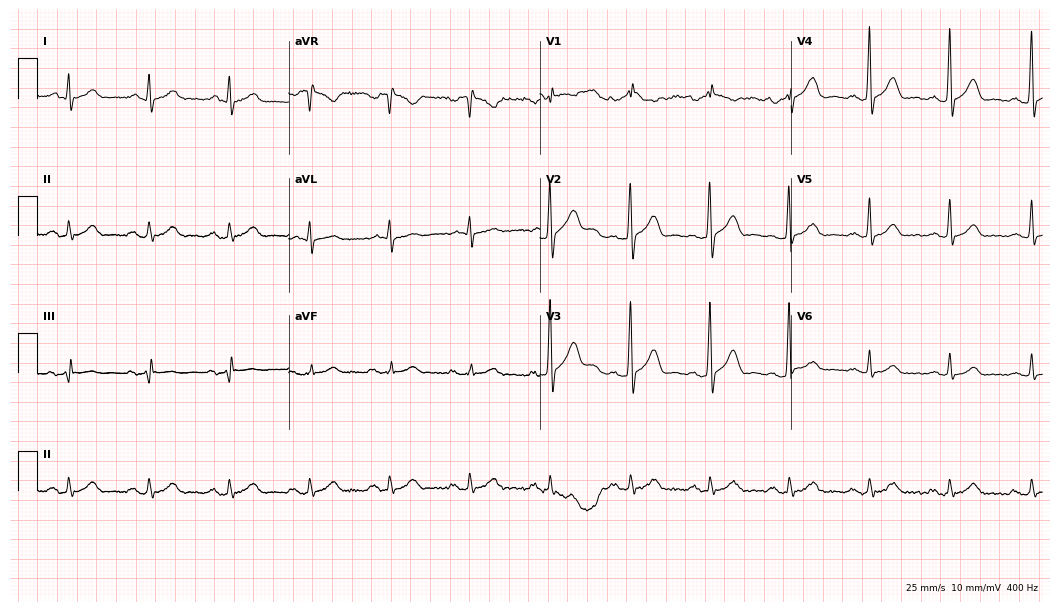
12-lead ECG (10.2-second recording at 400 Hz) from a male patient, 61 years old. Labelled as a normal ECG.